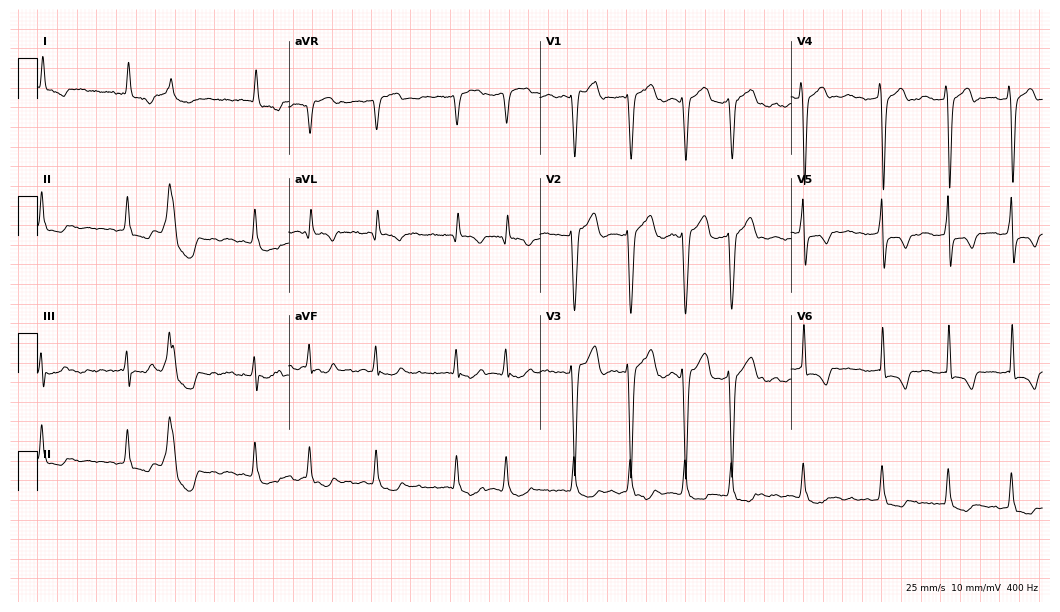
Resting 12-lead electrocardiogram. Patient: a 75-year-old man. The tracing shows atrial fibrillation.